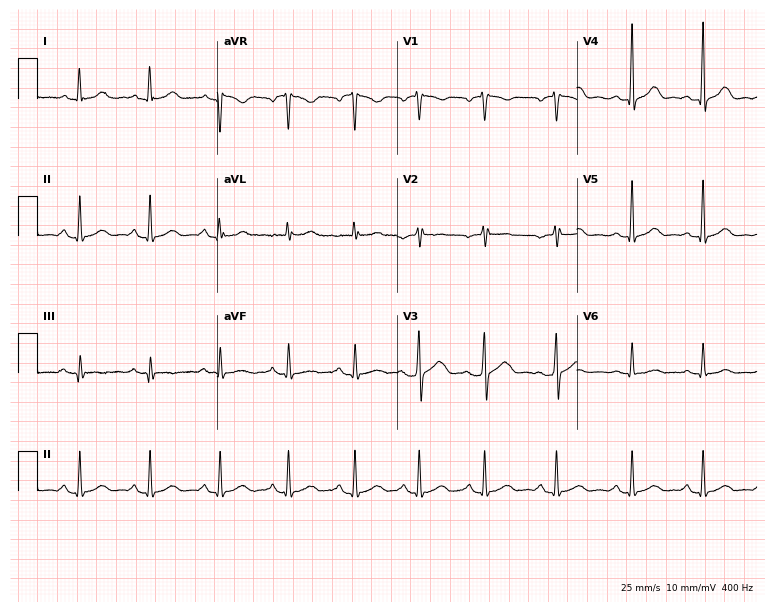
12-lead ECG from a 53-year-old female patient. Labelled as a normal ECG.